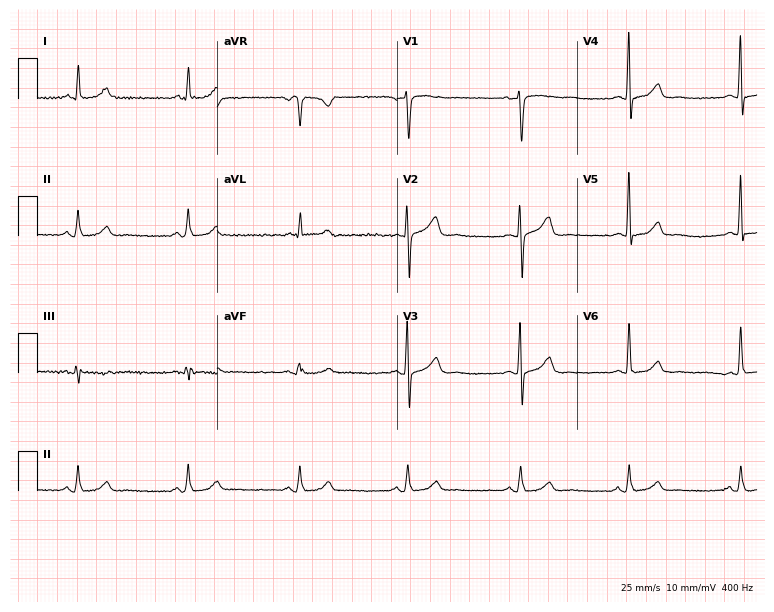
Standard 12-lead ECG recorded from a 51-year-old female patient. Read as a normal ECG.